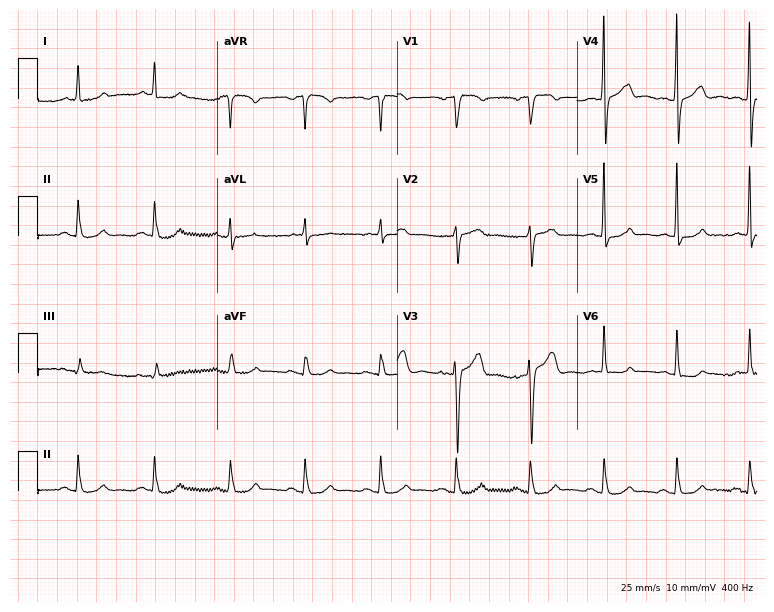
Resting 12-lead electrocardiogram. Patient: a male, 77 years old. Read as a normal ECG.